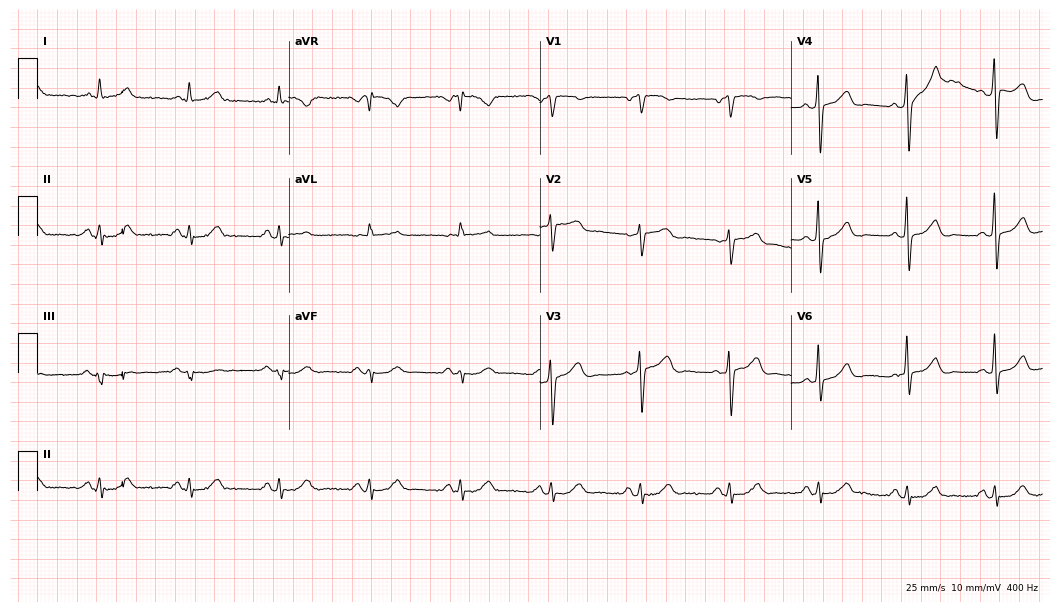
ECG (10.2-second recording at 400 Hz) — a man, 58 years old. Screened for six findings — first-degree AV block, right bundle branch block, left bundle branch block, sinus bradycardia, atrial fibrillation, sinus tachycardia — none is recorded. Only these six findings were labelled.